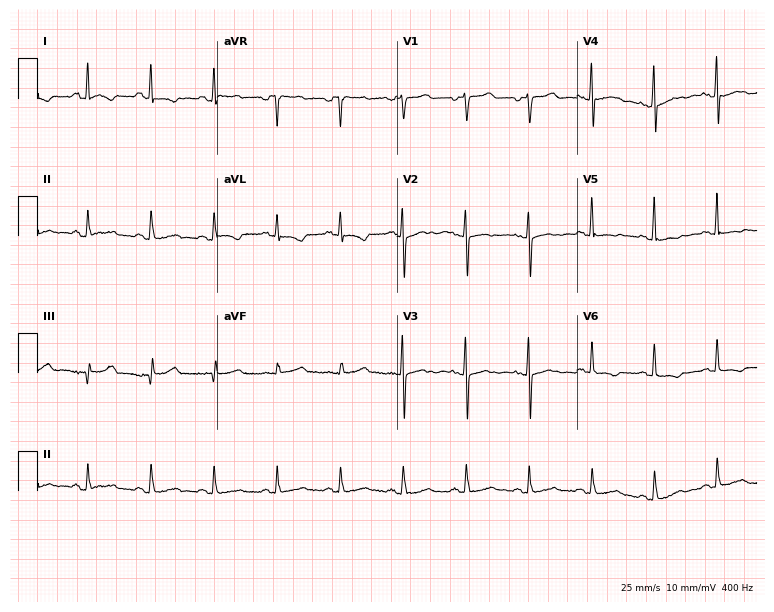
Electrocardiogram, a 67-year-old female patient. Of the six screened findings (first-degree AV block, right bundle branch block, left bundle branch block, sinus bradycardia, atrial fibrillation, sinus tachycardia), none is recorded. Only these six findings were labelled.